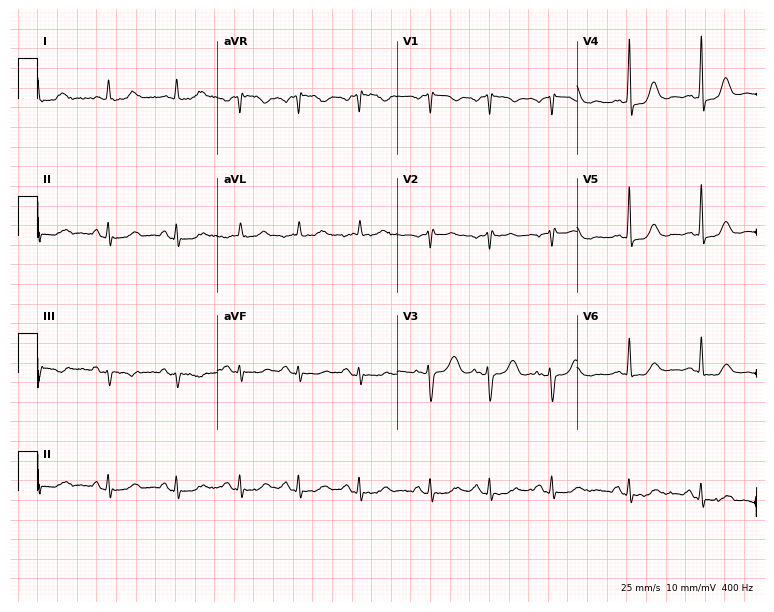
12-lead ECG from a 67-year-old female. Screened for six findings — first-degree AV block, right bundle branch block (RBBB), left bundle branch block (LBBB), sinus bradycardia, atrial fibrillation (AF), sinus tachycardia — none is recorded. Only these six findings were labelled.